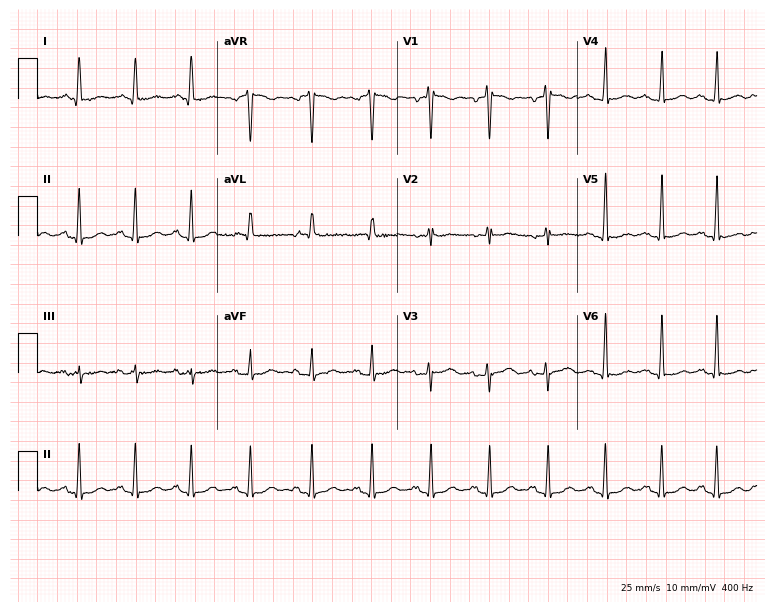
Electrocardiogram (7.3-second recording at 400 Hz), a 28-year-old female. Interpretation includes sinus tachycardia (a sinus rate of 100 beats per minute or more).